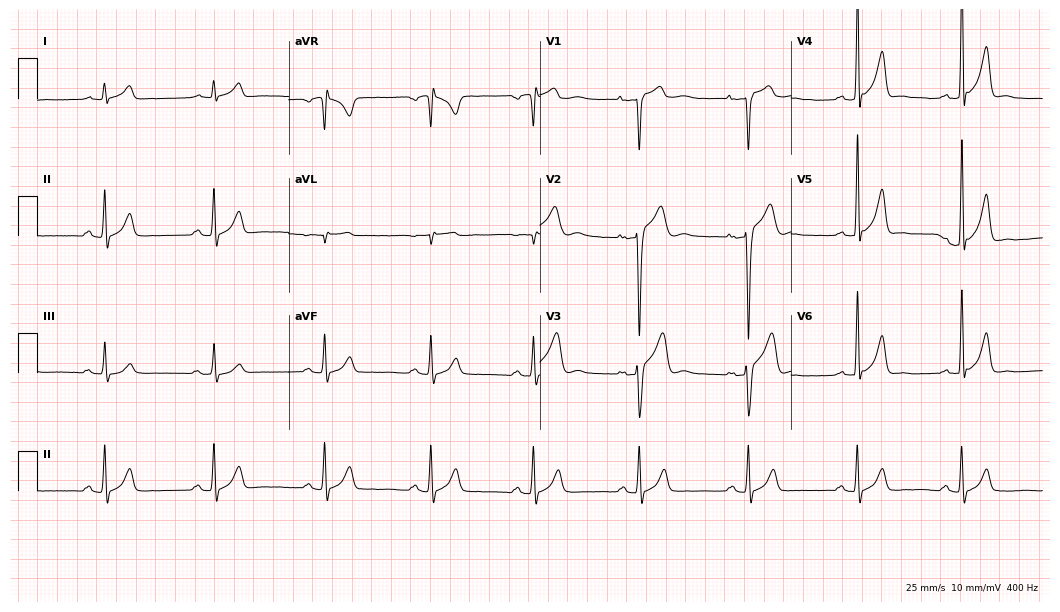
Standard 12-lead ECG recorded from a 36-year-old male patient (10.2-second recording at 400 Hz). Read as a normal ECG.